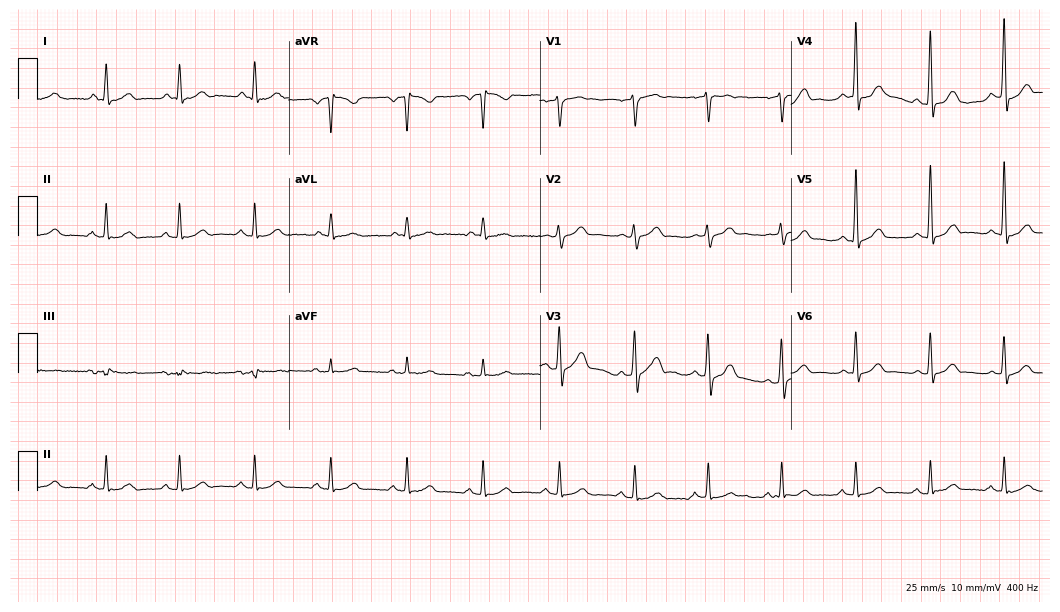
Standard 12-lead ECG recorded from a 61-year-old male patient (10.2-second recording at 400 Hz). None of these six findings is recorded: first-degree AV block, right bundle branch block, left bundle branch block, sinus bradycardia, atrial fibrillation, sinus tachycardia.